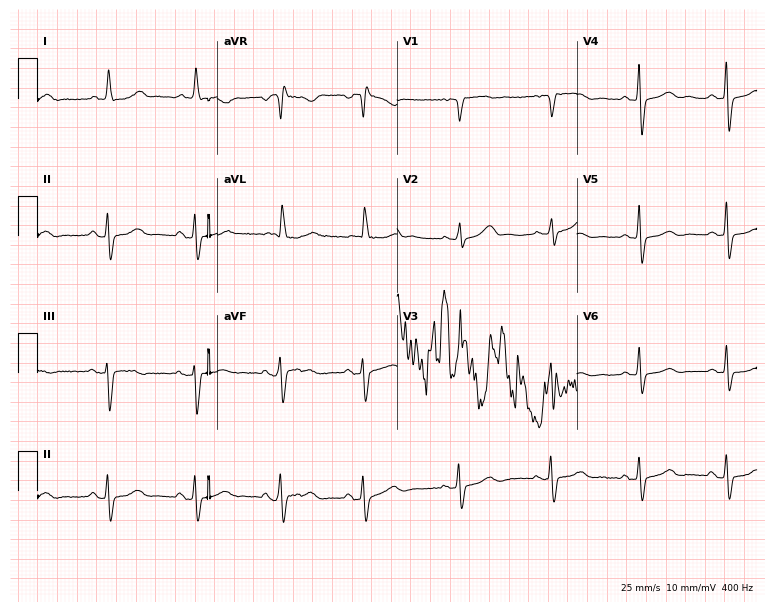
12-lead ECG from a 68-year-old woman. No first-degree AV block, right bundle branch block, left bundle branch block, sinus bradycardia, atrial fibrillation or sinus tachycardia recorded for this tracing. Findings outside these six are not listed.